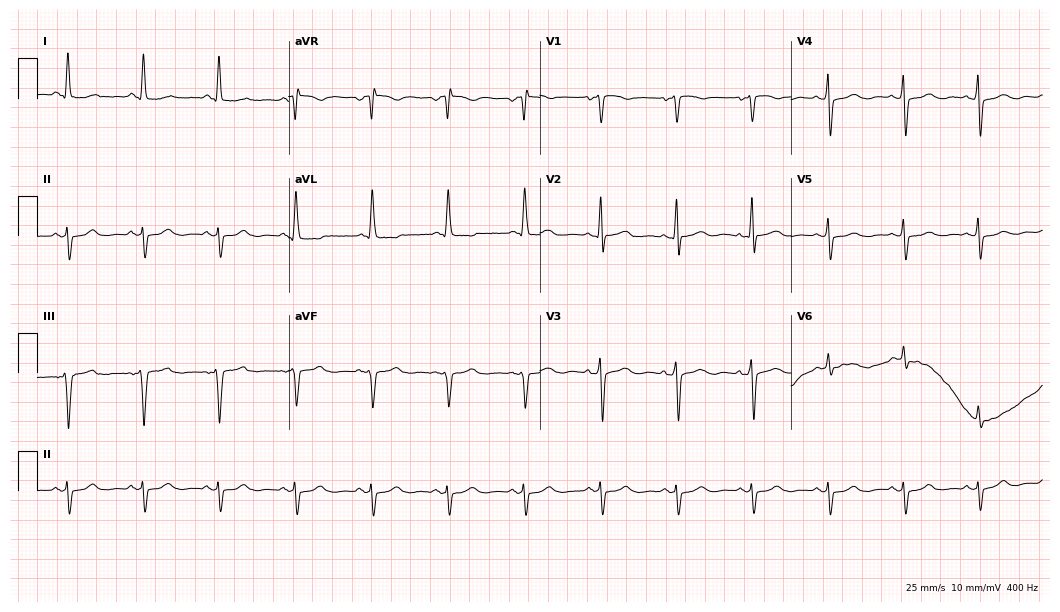
Electrocardiogram, a female patient, 81 years old. Of the six screened findings (first-degree AV block, right bundle branch block (RBBB), left bundle branch block (LBBB), sinus bradycardia, atrial fibrillation (AF), sinus tachycardia), none is recorded. Other findings, if any, are not listed.